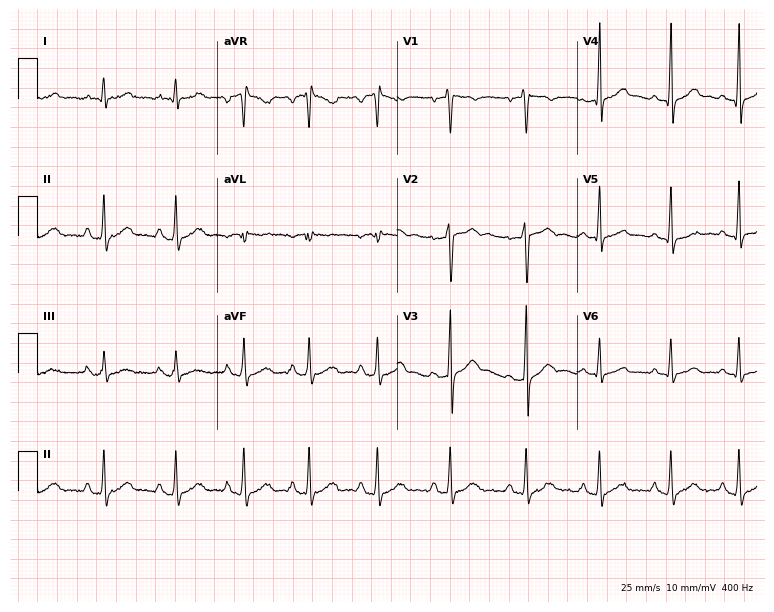
Electrocardiogram, a male, 22 years old. Of the six screened findings (first-degree AV block, right bundle branch block (RBBB), left bundle branch block (LBBB), sinus bradycardia, atrial fibrillation (AF), sinus tachycardia), none is recorded.